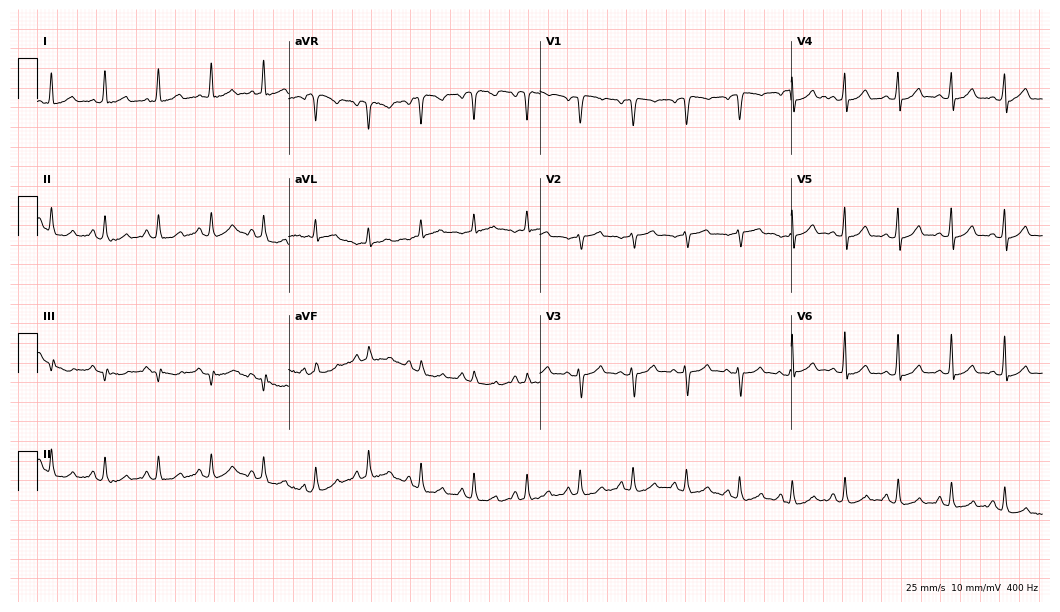
Electrocardiogram, an 81-year-old female patient. Of the six screened findings (first-degree AV block, right bundle branch block, left bundle branch block, sinus bradycardia, atrial fibrillation, sinus tachycardia), none is recorded. Findings outside these six are not listed.